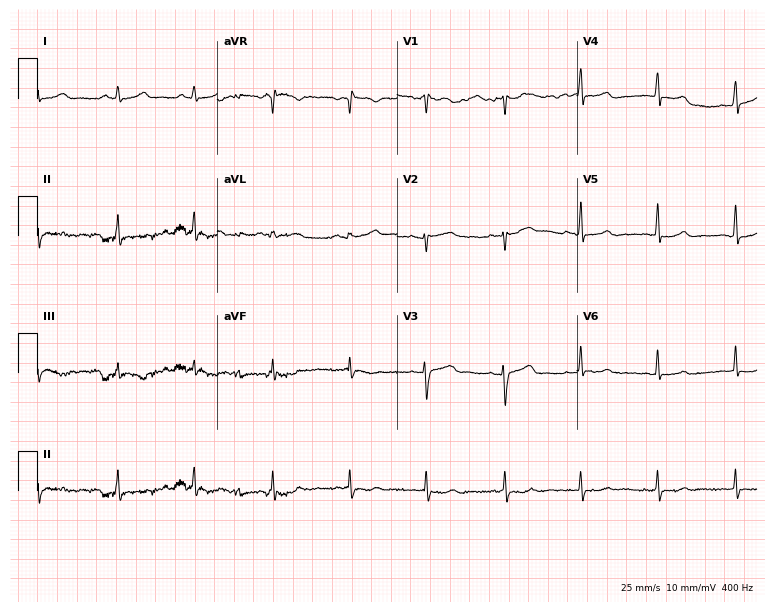
12-lead ECG from a woman, 27 years old. Screened for six findings — first-degree AV block, right bundle branch block (RBBB), left bundle branch block (LBBB), sinus bradycardia, atrial fibrillation (AF), sinus tachycardia — none is recorded. Findings outside these six are not listed.